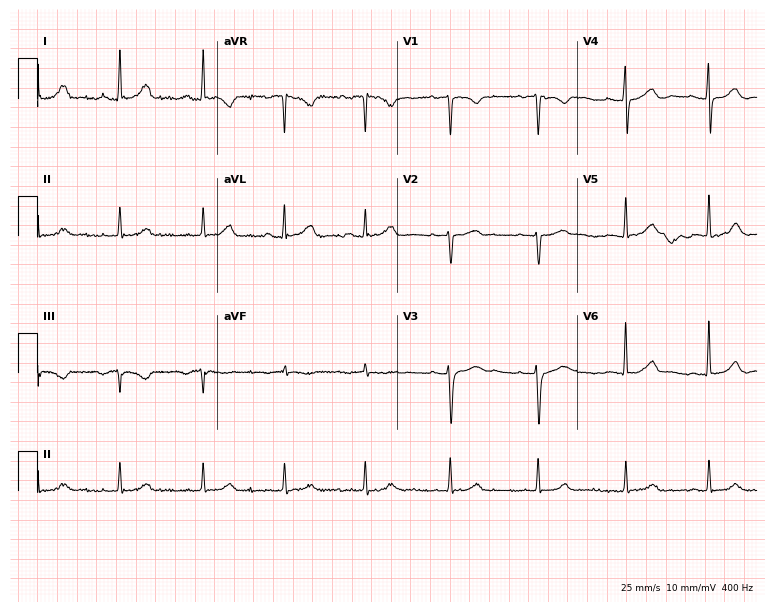
Electrocardiogram, a female, 34 years old. Overall reading on record: normal ECG.